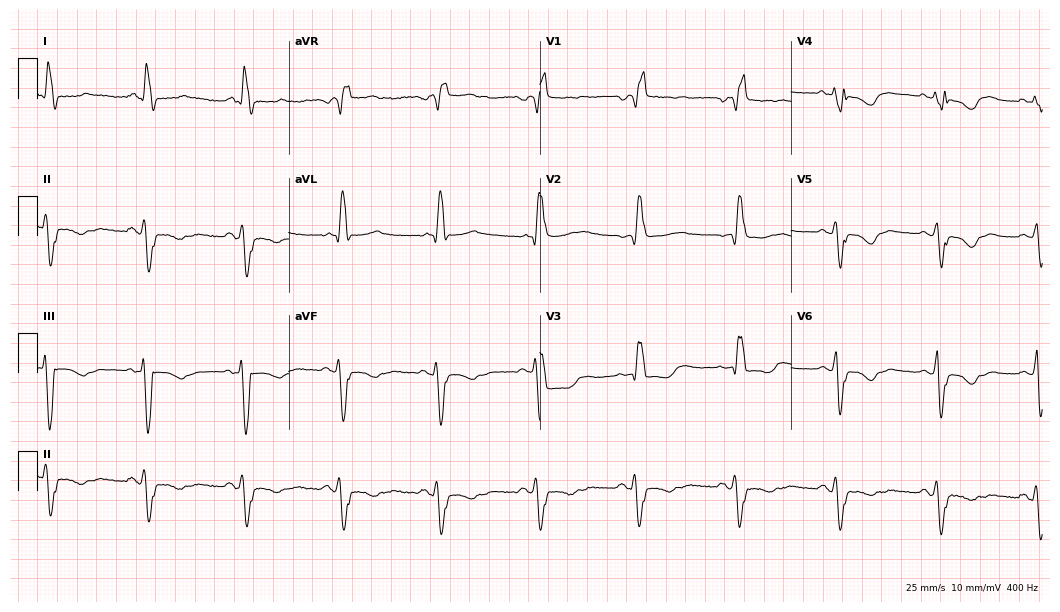
Standard 12-lead ECG recorded from a 65-year-old female. The tracing shows right bundle branch block.